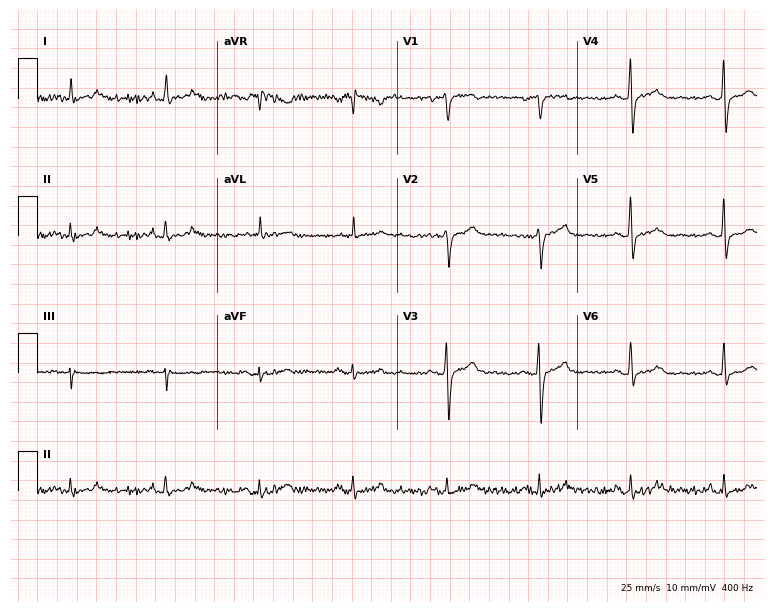
Standard 12-lead ECG recorded from a male, 53 years old (7.3-second recording at 400 Hz). Read as a normal ECG.